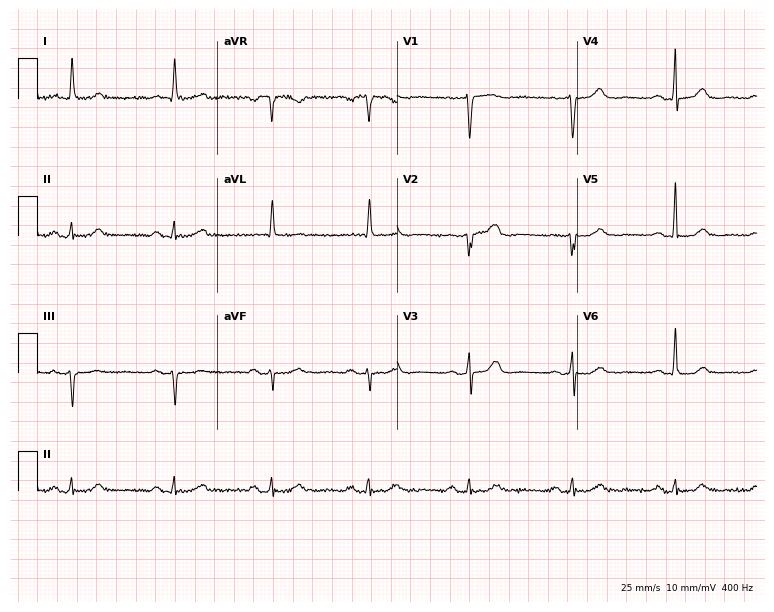
Standard 12-lead ECG recorded from an 83-year-old man (7.3-second recording at 400 Hz). Read as a normal ECG.